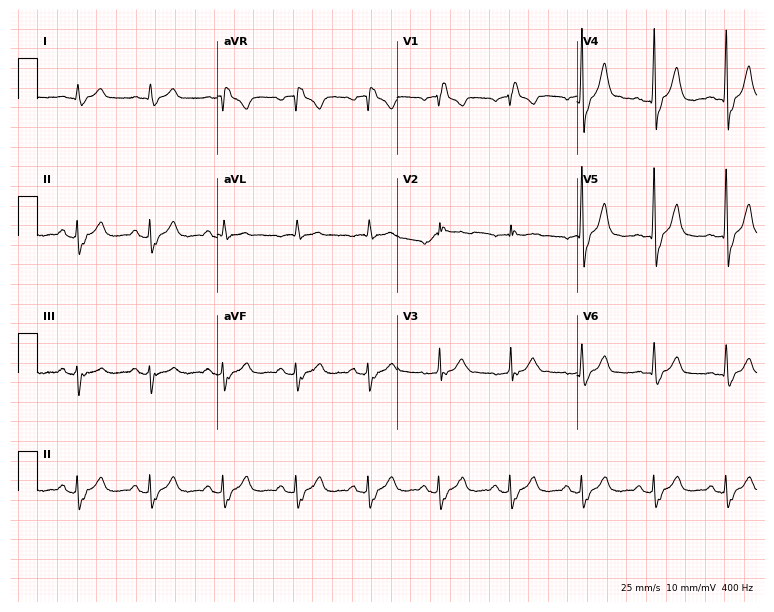
12-lead ECG from a male patient, 75 years old. Shows right bundle branch block.